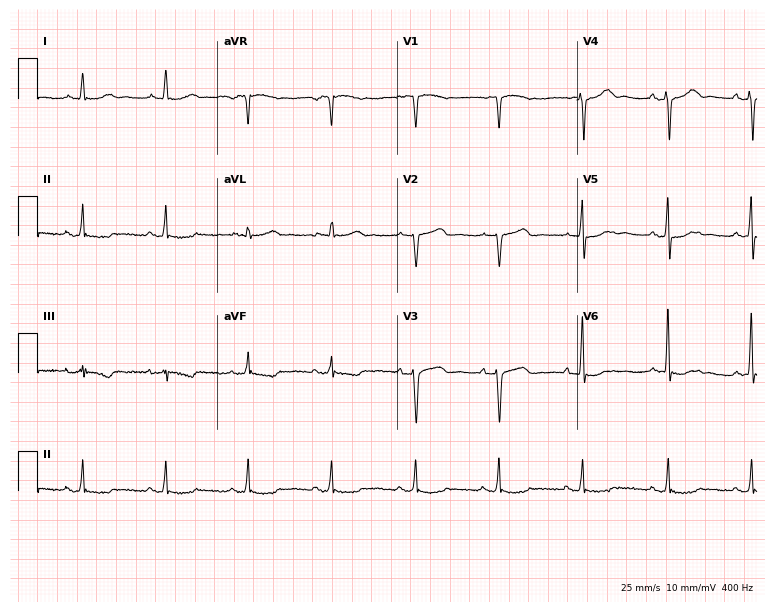
Standard 12-lead ECG recorded from a 63-year-old female patient (7.3-second recording at 400 Hz). None of these six findings is recorded: first-degree AV block, right bundle branch block, left bundle branch block, sinus bradycardia, atrial fibrillation, sinus tachycardia.